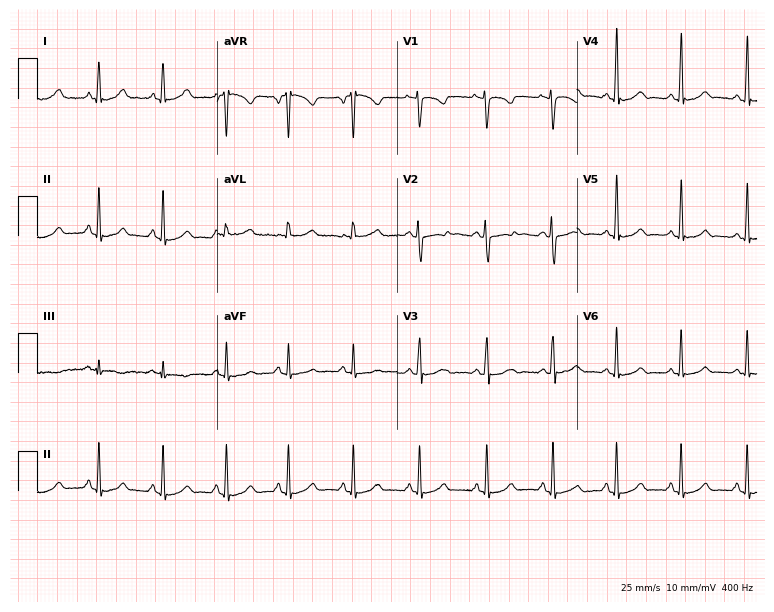
12-lead ECG from a 21-year-old female patient. Screened for six findings — first-degree AV block, right bundle branch block, left bundle branch block, sinus bradycardia, atrial fibrillation, sinus tachycardia — none is recorded.